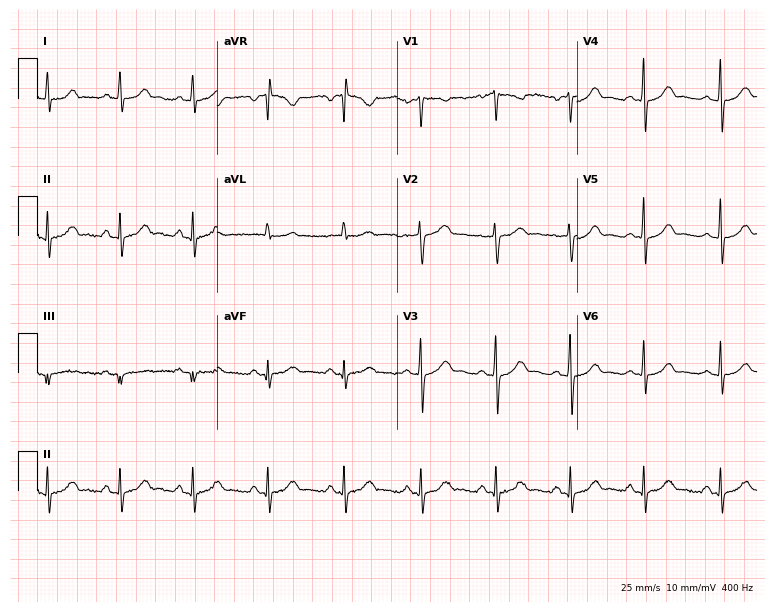
12-lead ECG from a 47-year-old woman. Recorded interpretation: within normal limits.